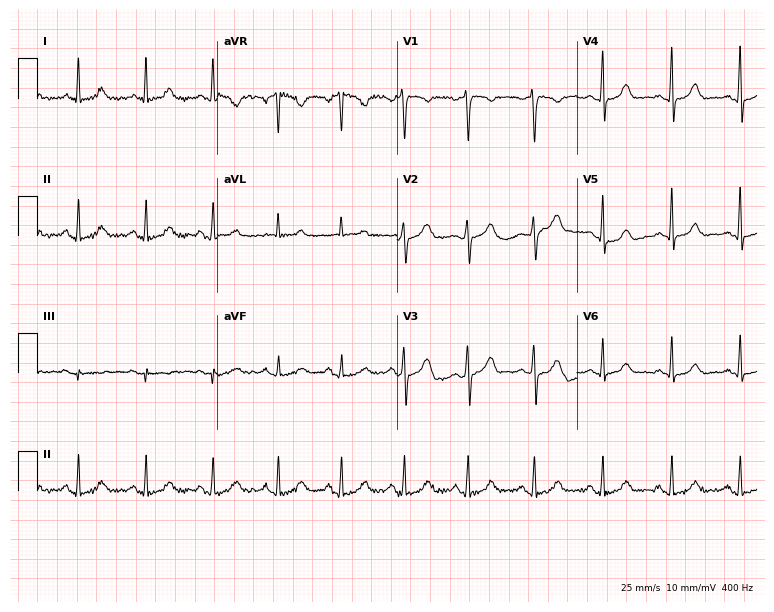
Electrocardiogram (7.3-second recording at 400 Hz), a 41-year-old female. Of the six screened findings (first-degree AV block, right bundle branch block (RBBB), left bundle branch block (LBBB), sinus bradycardia, atrial fibrillation (AF), sinus tachycardia), none is recorded. Findings outside these six are not listed.